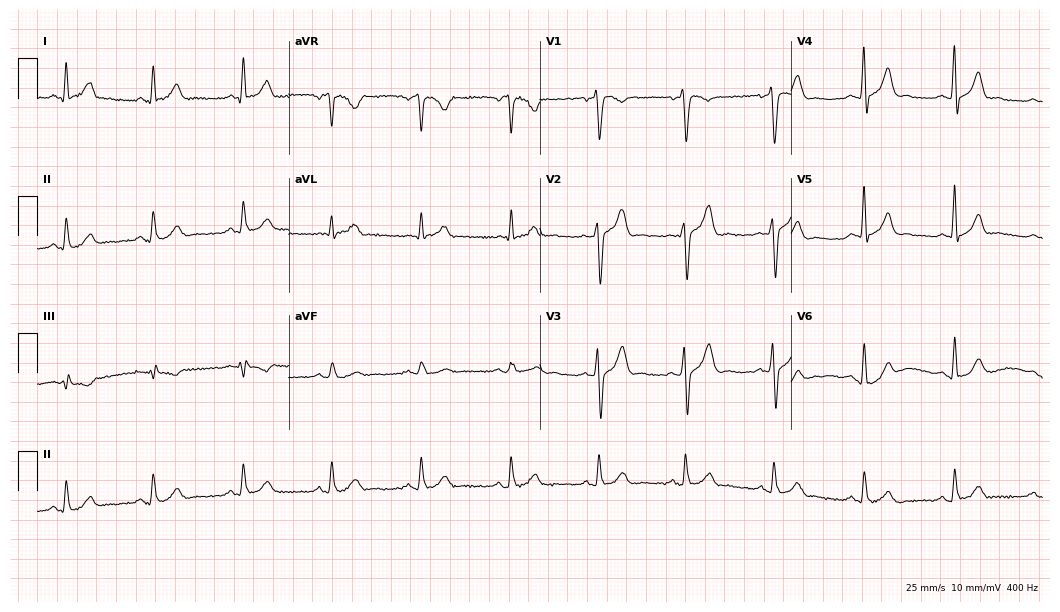
Resting 12-lead electrocardiogram (10.2-second recording at 400 Hz). Patient: a male, 40 years old. Read as a normal ECG.